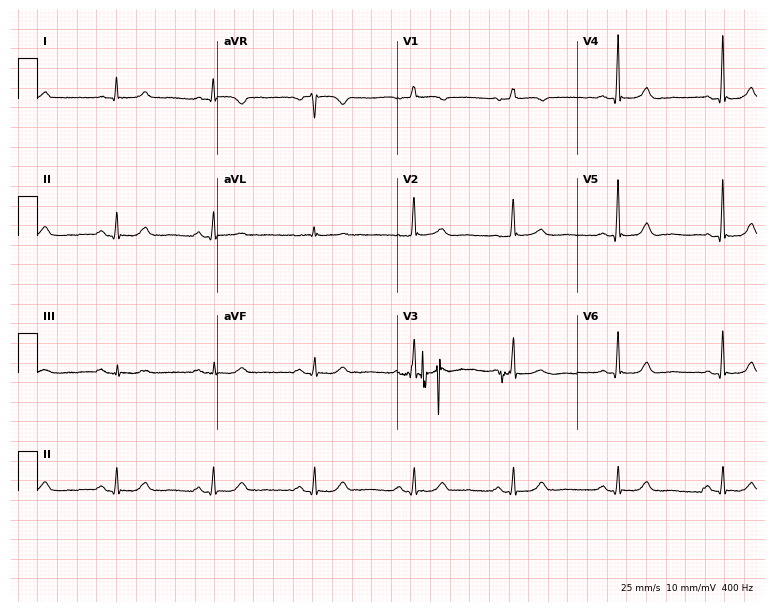
Resting 12-lead electrocardiogram. Patient: a 67-year-old woman. Read as a normal ECG.